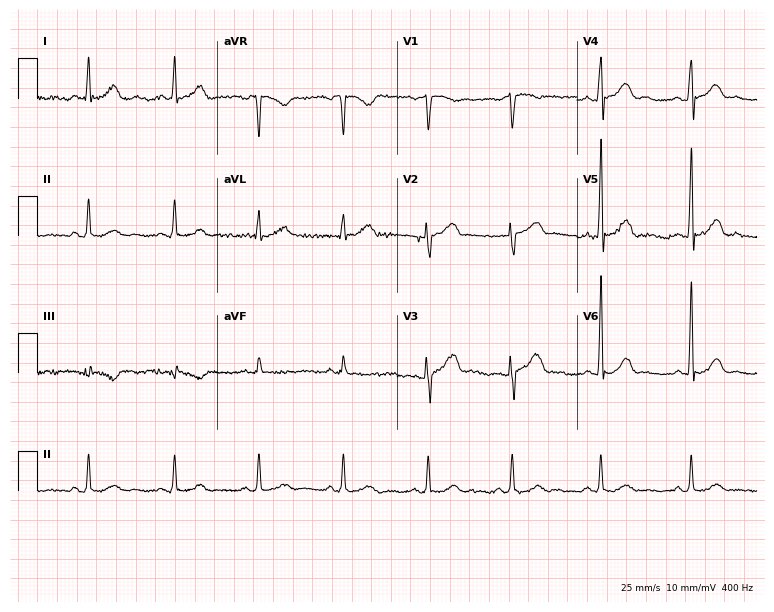
Resting 12-lead electrocardiogram (7.3-second recording at 400 Hz). Patient: a female, 49 years old. Read as a normal ECG.